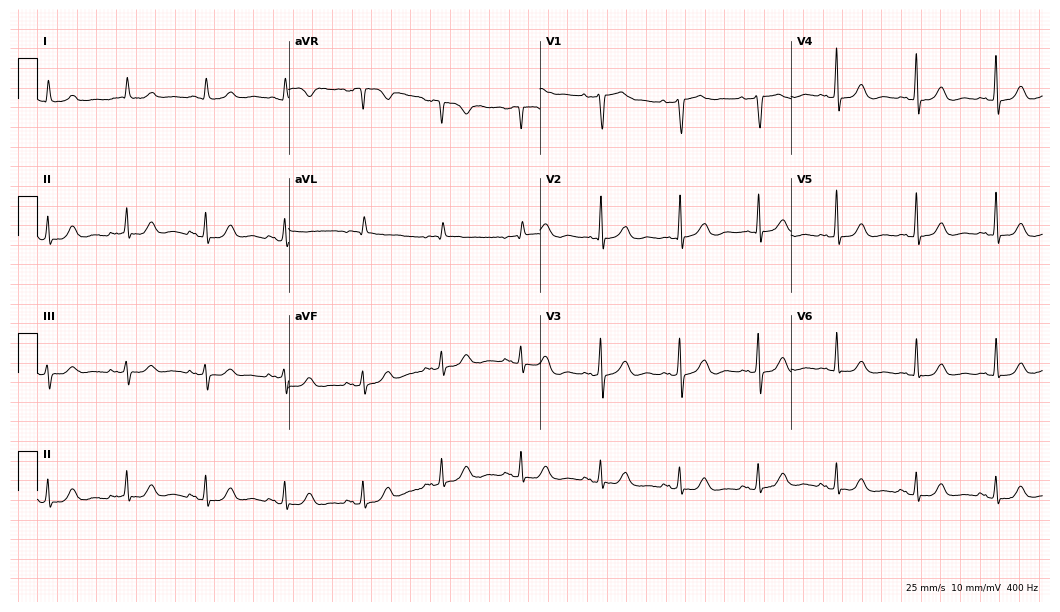
12-lead ECG from a female, 83 years old. Screened for six findings — first-degree AV block, right bundle branch block (RBBB), left bundle branch block (LBBB), sinus bradycardia, atrial fibrillation (AF), sinus tachycardia — none is recorded.